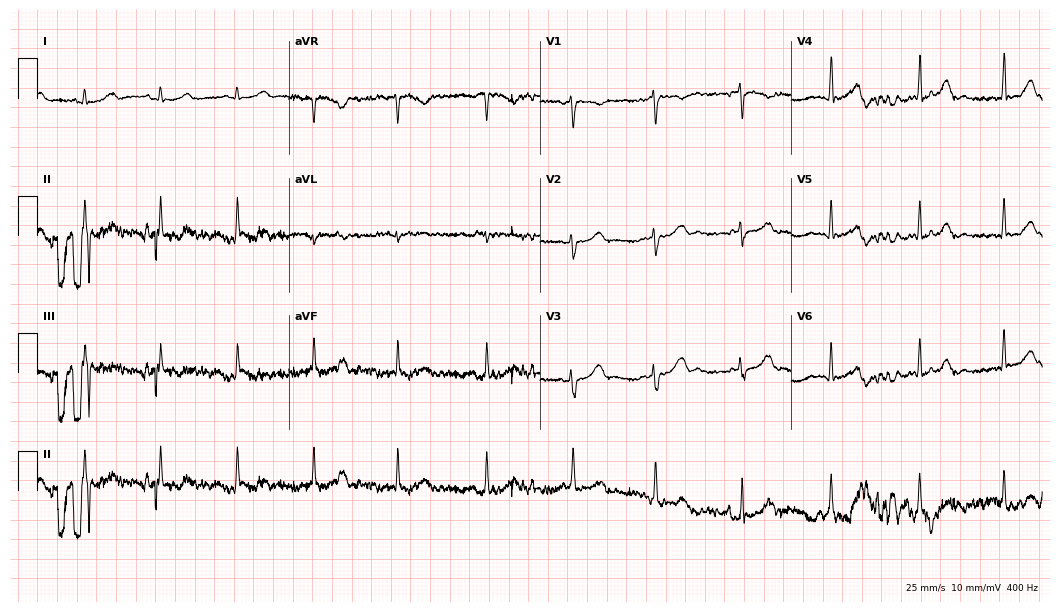
12-lead ECG from a female, 20 years old. No first-degree AV block, right bundle branch block, left bundle branch block, sinus bradycardia, atrial fibrillation or sinus tachycardia recorded for this tracing.